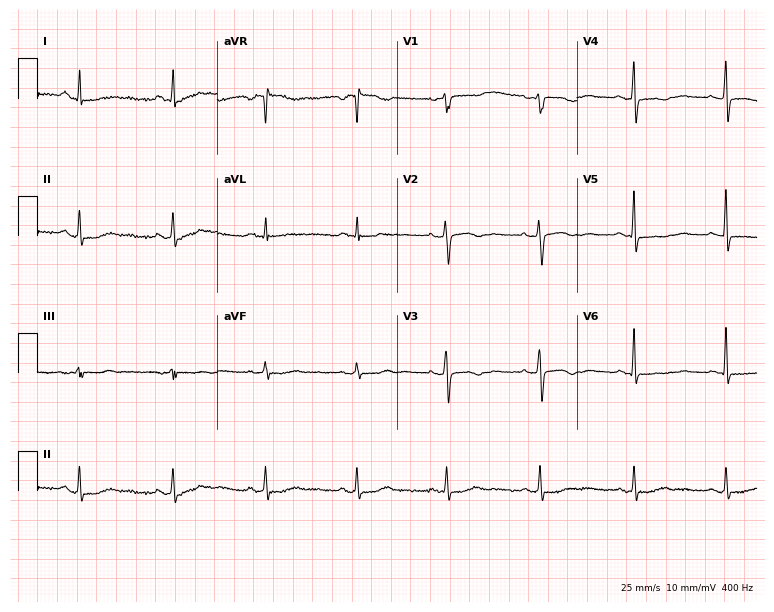
Standard 12-lead ECG recorded from a female patient, 52 years old (7.3-second recording at 400 Hz). Read as a normal ECG.